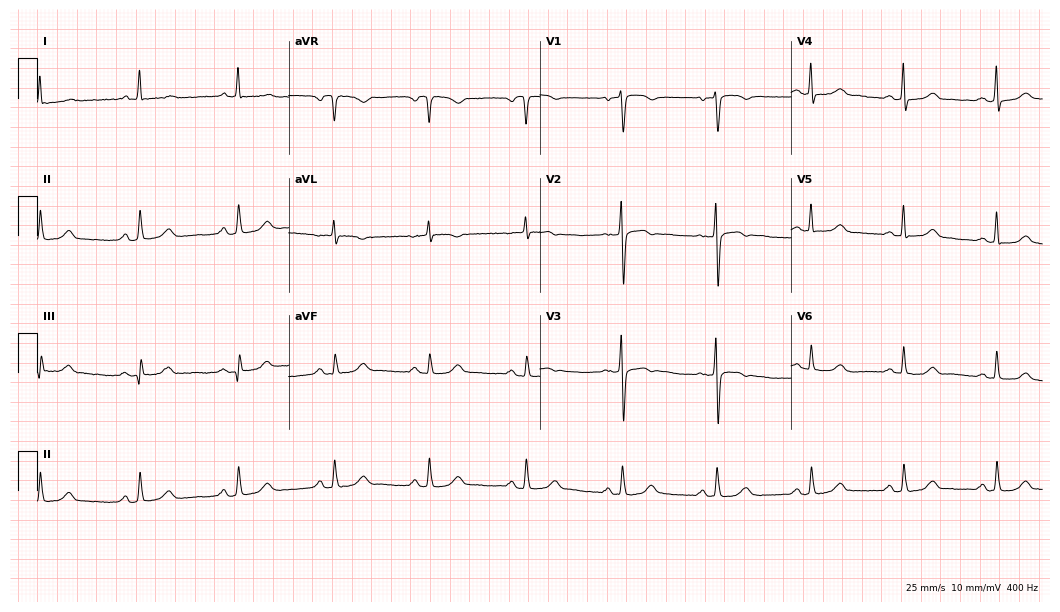
Standard 12-lead ECG recorded from a female, 55 years old (10.2-second recording at 400 Hz). None of these six findings is recorded: first-degree AV block, right bundle branch block, left bundle branch block, sinus bradycardia, atrial fibrillation, sinus tachycardia.